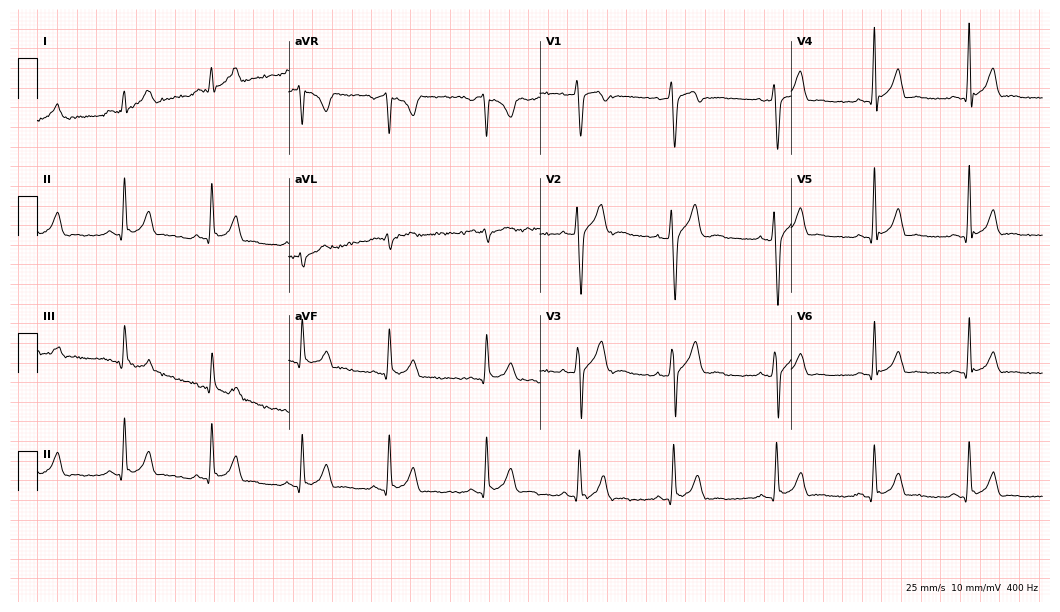
Resting 12-lead electrocardiogram (10.2-second recording at 400 Hz). Patient: a 20-year-old male. None of these six findings is recorded: first-degree AV block, right bundle branch block, left bundle branch block, sinus bradycardia, atrial fibrillation, sinus tachycardia. Other findings, if any, are not listed.